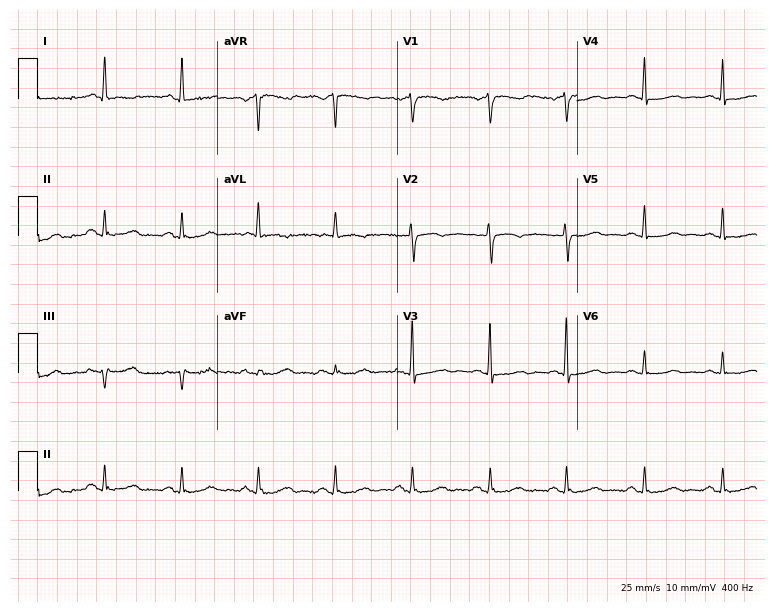
12-lead ECG from an 80-year-old female. Screened for six findings — first-degree AV block, right bundle branch block (RBBB), left bundle branch block (LBBB), sinus bradycardia, atrial fibrillation (AF), sinus tachycardia — none is recorded. Only these six findings were labelled.